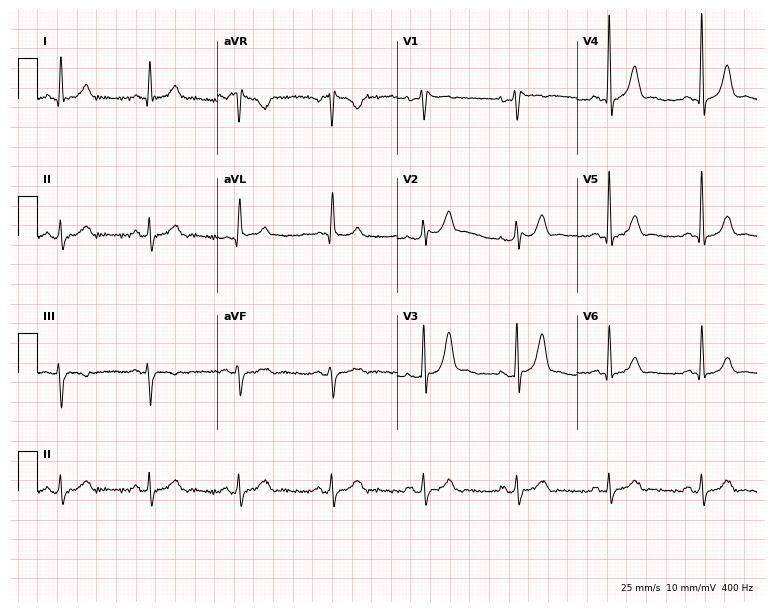
ECG (7.3-second recording at 400 Hz) — a 64-year-old male patient. Screened for six findings — first-degree AV block, right bundle branch block (RBBB), left bundle branch block (LBBB), sinus bradycardia, atrial fibrillation (AF), sinus tachycardia — none is recorded.